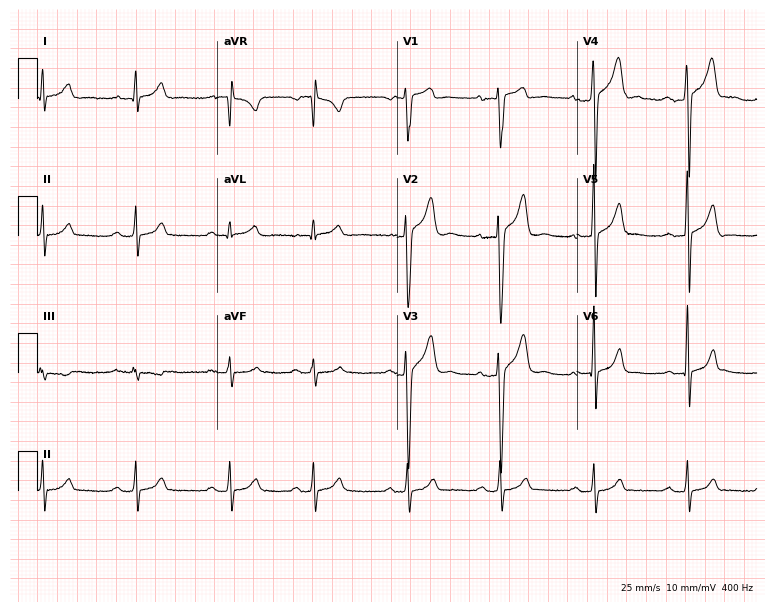
Electrocardiogram (7.3-second recording at 400 Hz), a 19-year-old man. Of the six screened findings (first-degree AV block, right bundle branch block, left bundle branch block, sinus bradycardia, atrial fibrillation, sinus tachycardia), none is recorded. Other findings, if any, are not listed.